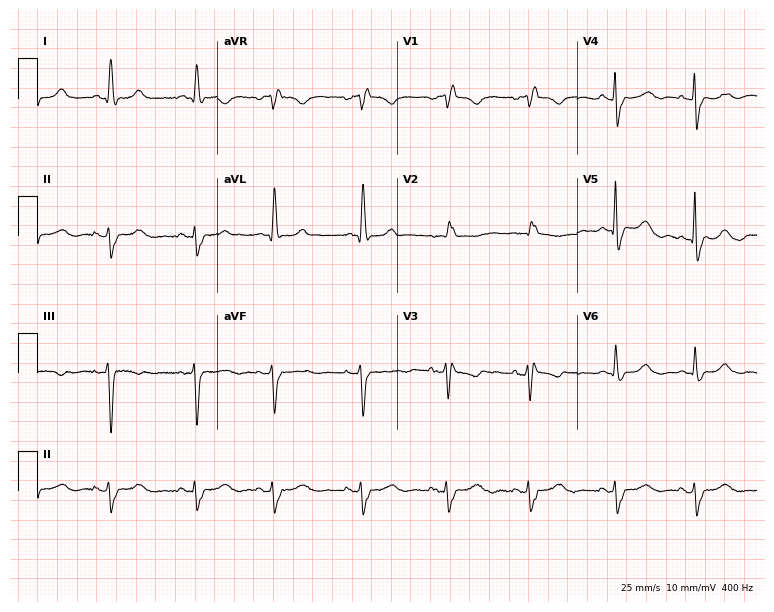
Resting 12-lead electrocardiogram (7.3-second recording at 400 Hz). Patient: an 84-year-old female. The tracing shows right bundle branch block.